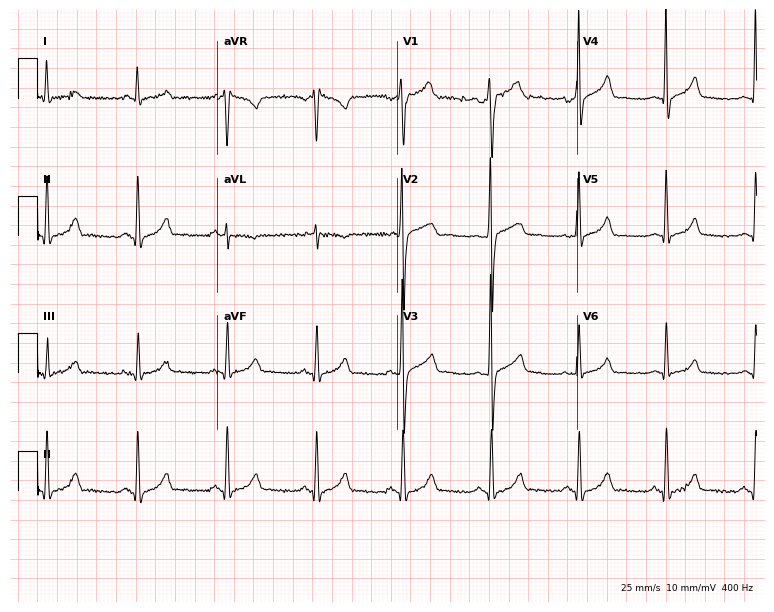
12-lead ECG from a male, 52 years old. Recorded interpretation: within normal limits.